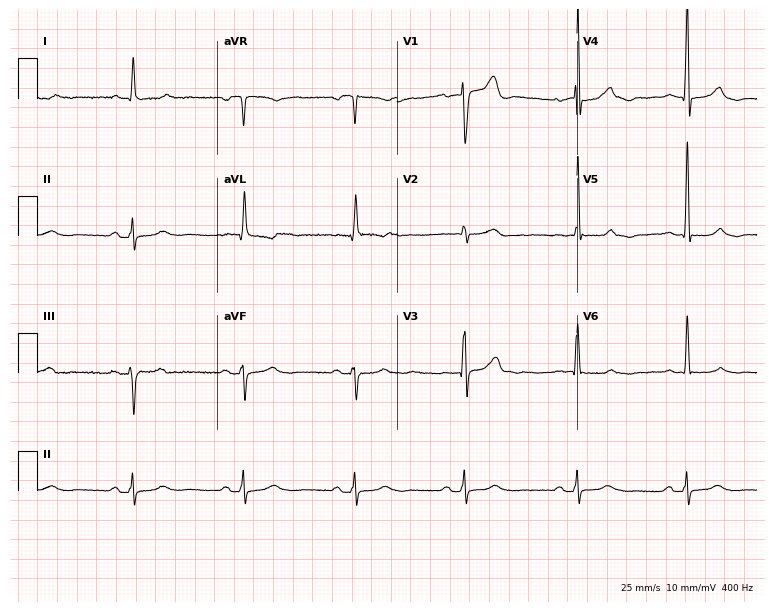
Standard 12-lead ECG recorded from a 75-year-old male patient. Read as a normal ECG.